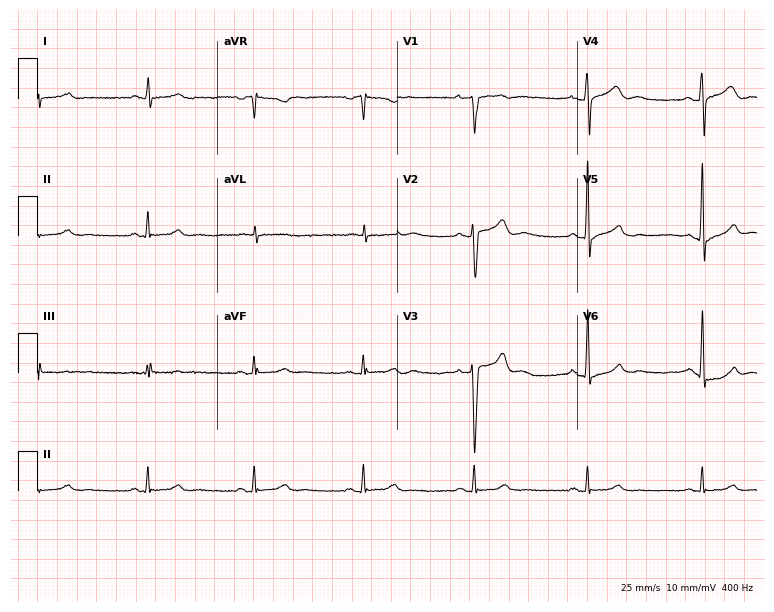
Standard 12-lead ECG recorded from a 41-year-old male patient (7.3-second recording at 400 Hz). Read as a normal ECG.